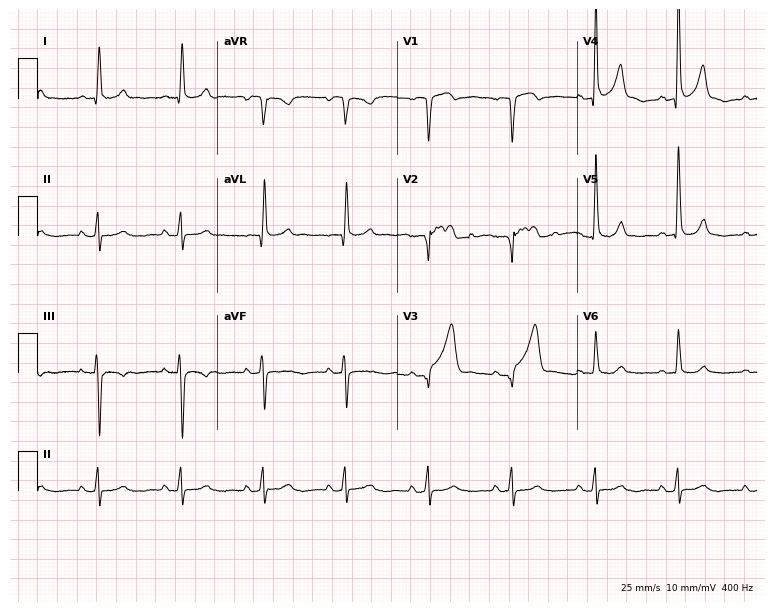
ECG — a 61-year-old male. Screened for six findings — first-degree AV block, right bundle branch block, left bundle branch block, sinus bradycardia, atrial fibrillation, sinus tachycardia — none is recorded.